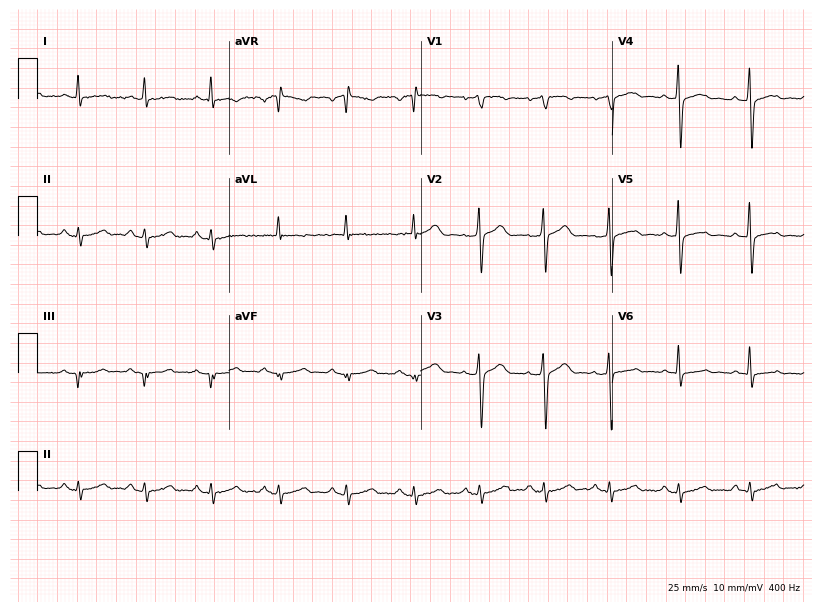
Electrocardiogram, a 55-year-old male. Overall reading on record: normal ECG.